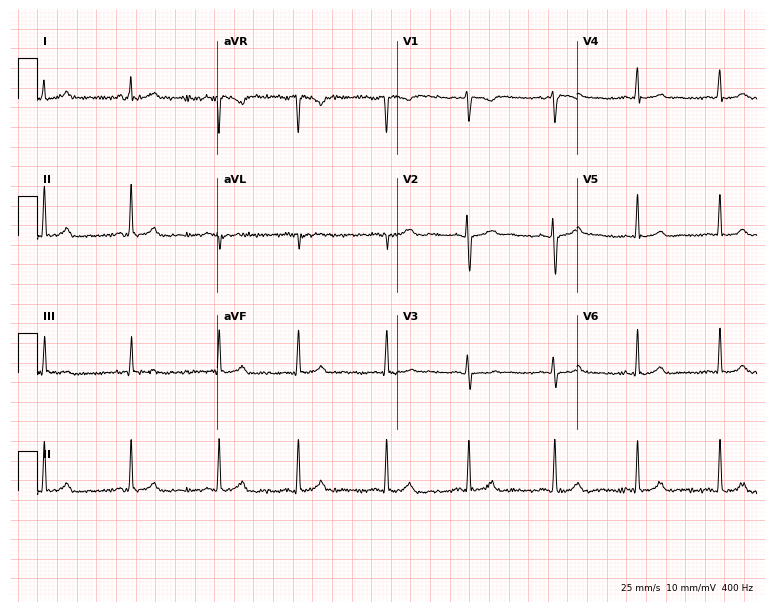
ECG — a woman, 22 years old. Labelled as a normal ECG.